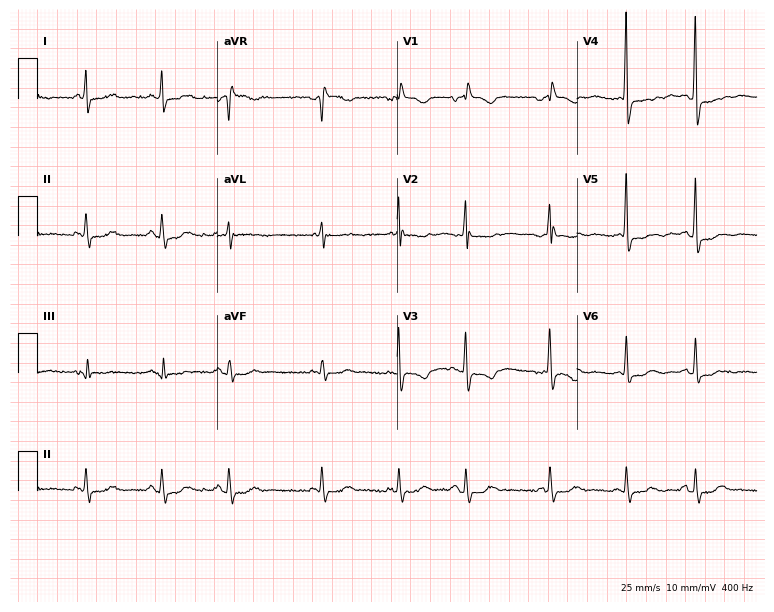
12-lead ECG from a woman, 79 years old (7.3-second recording at 400 Hz). No first-degree AV block, right bundle branch block, left bundle branch block, sinus bradycardia, atrial fibrillation or sinus tachycardia recorded for this tracing.